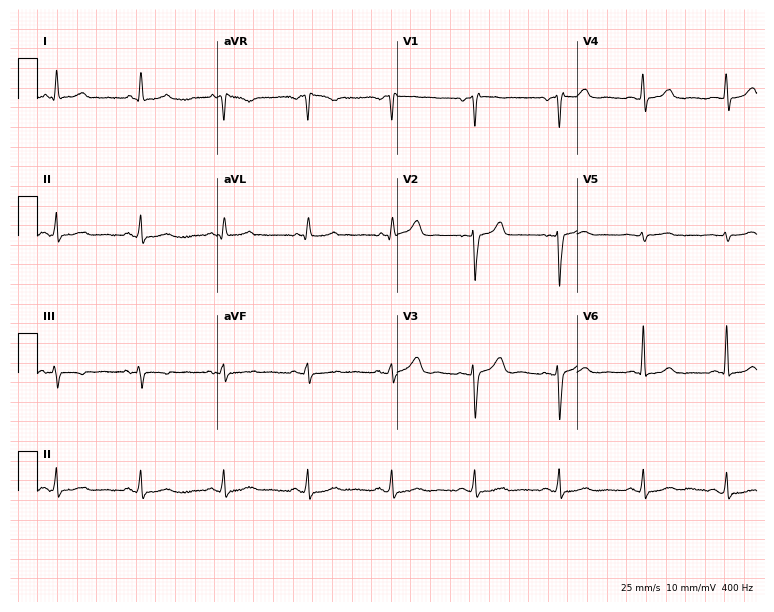
Standard 12-lead ECG recorded from a woman, 43 years old (7.3-second recording at 400 Hz). Read as a normal ECG.